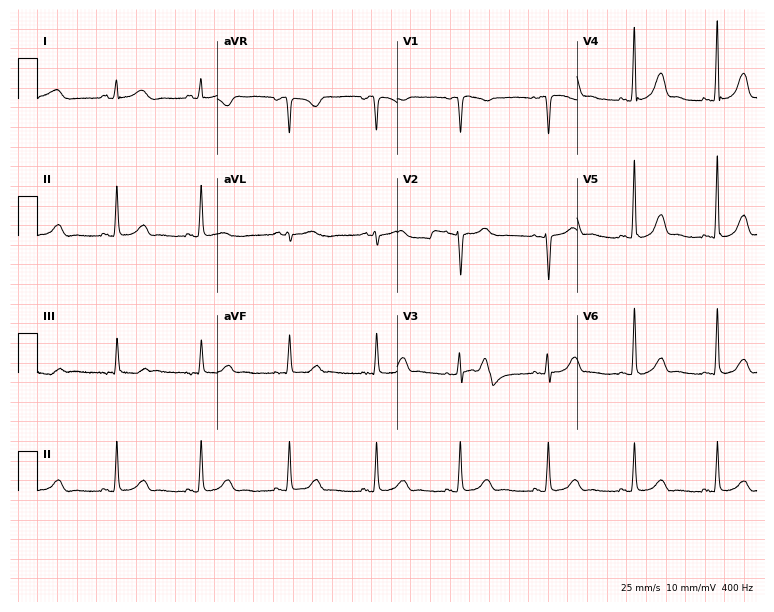
Resting 12-lead electrocardiogram (7.3-second recording at 400 Hz). Patient: a 31-year-old female. Read as a normal ECG.